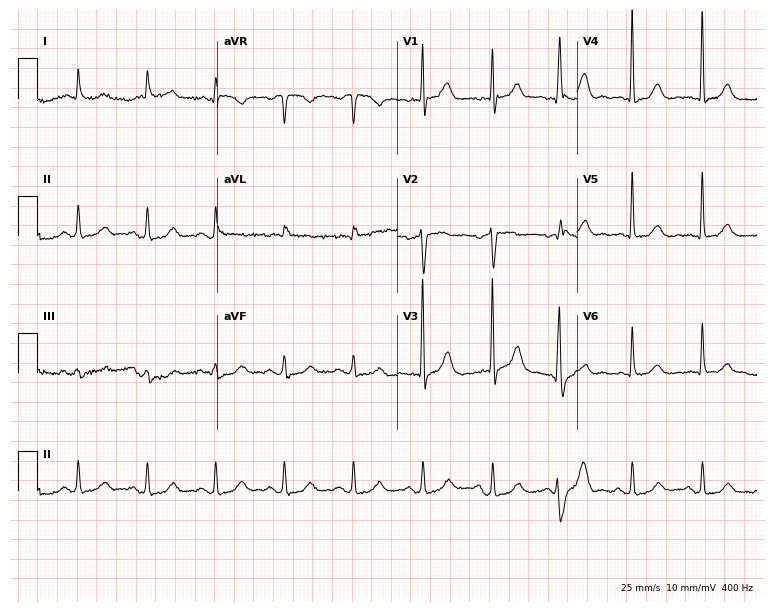
12-lead ECG from a 73-year-old male patient. Recorded interpretation: within normal limits.